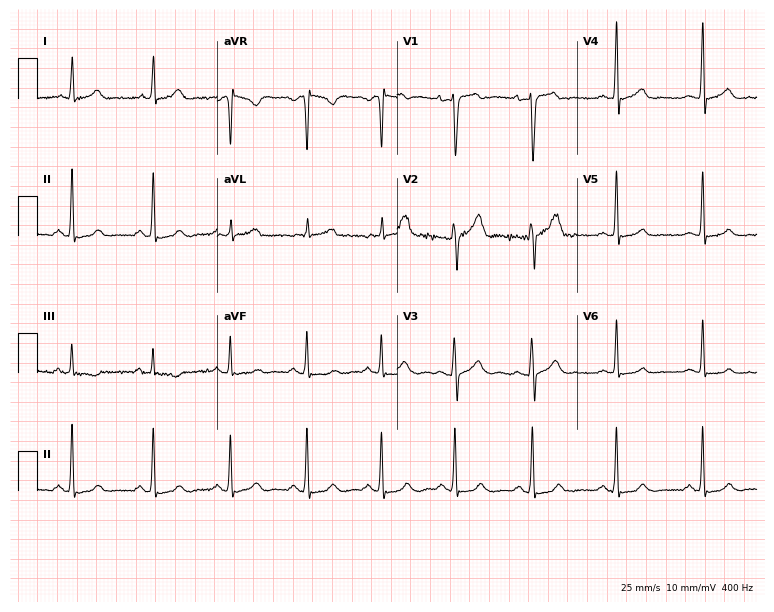
Resting 12-lead electrocardiogram. Patient: a female, 35 years old. Read as a normal ECG.